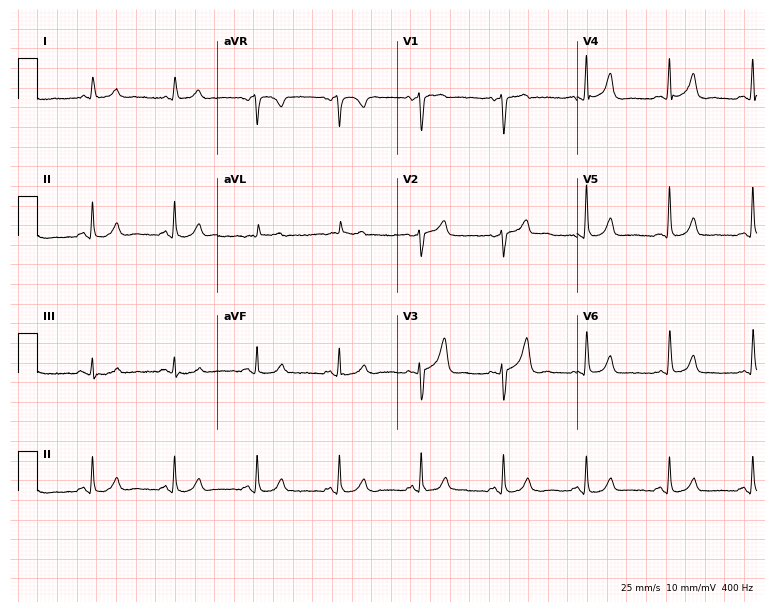
ECG (7.3-second recording at 400 Hz) — an 81-year-old male. Labelled as a normal ECG.